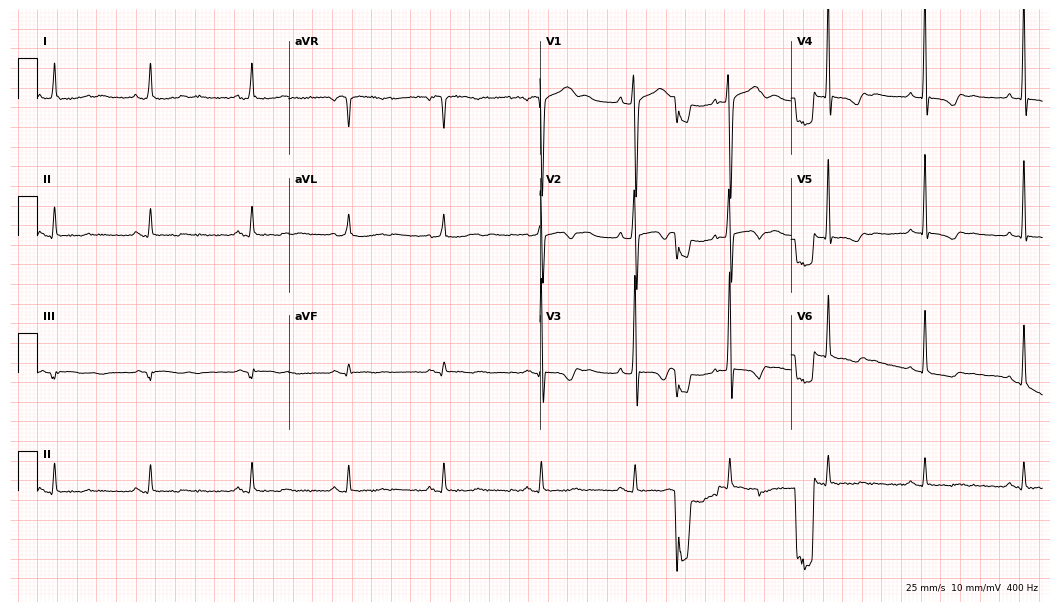
12-lead ECG from a 45-year-old man (10.2-second recording at 400 Hz). Recorded interpretation: within normal limits.